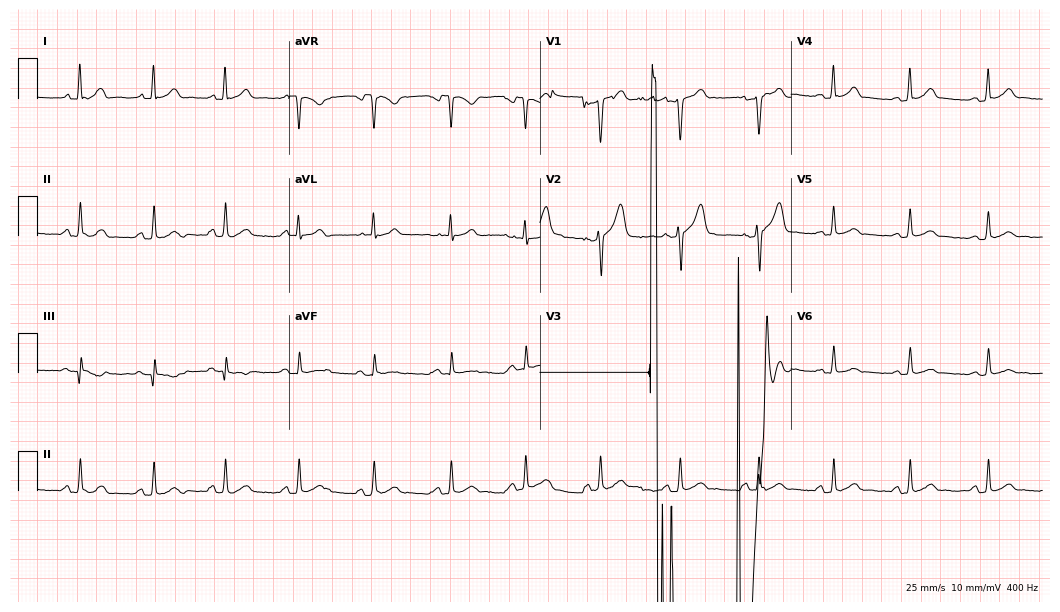
Resting 12-lead electrocardiogram. Patient: a 23-year-old male. None of these six findings is recorded: first-degree AV block, right bundle branch block (RBBB), left bundle branch block (LBBB), sinus bradycardia, atrial fibrillation (AF), sinus tachycardia. Only these six findings were labelled.